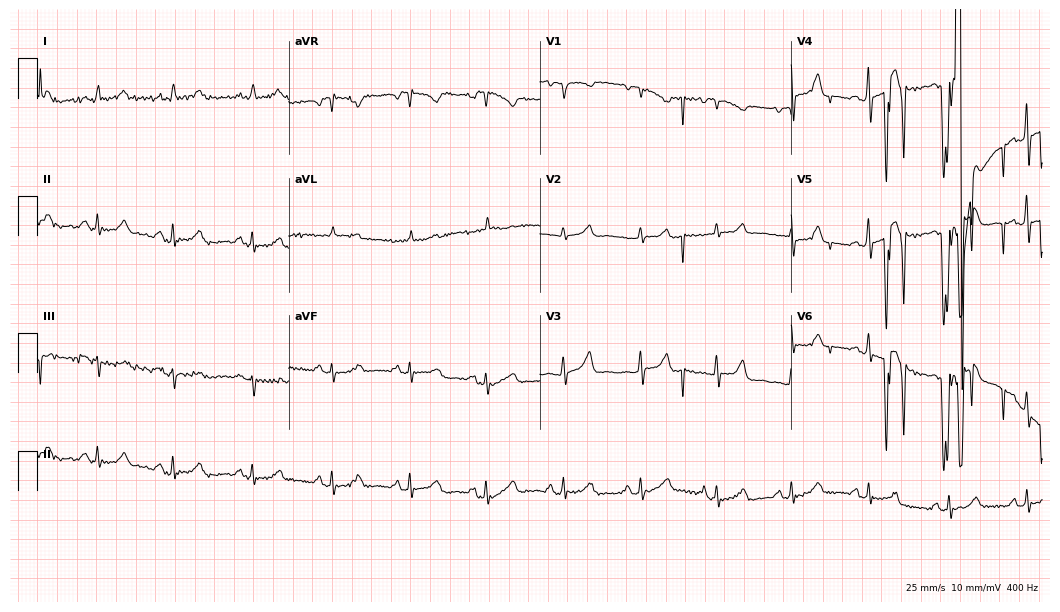
ECG (10.2-second recording at 400 Hz) — a woman, 61 years old. Screened for six findings — first-degree AV block, right bundle branch block, left bundle branch block, sinus bradycardia, atrial fibrillation, sinus tachycardia — none is recorded. Only these six findings were labelled.